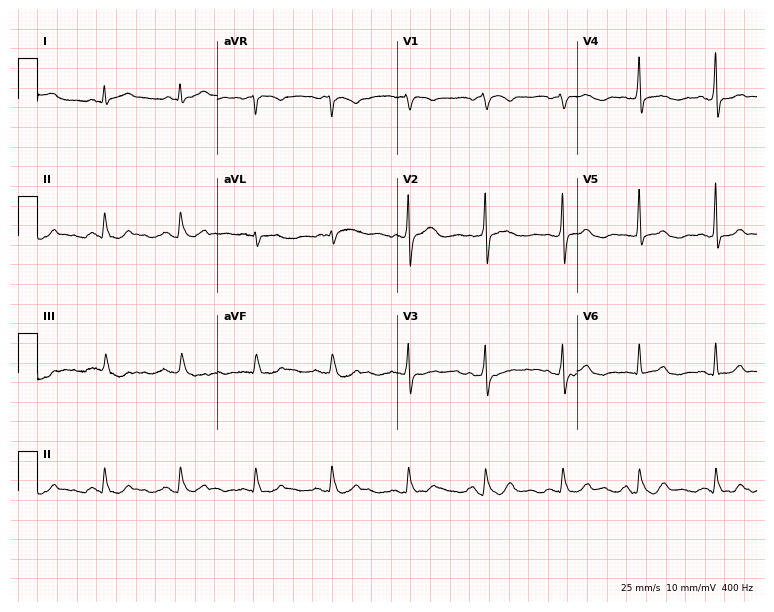
12-lead ECG from a man, 75 years old. Labelled as a normal ECG.